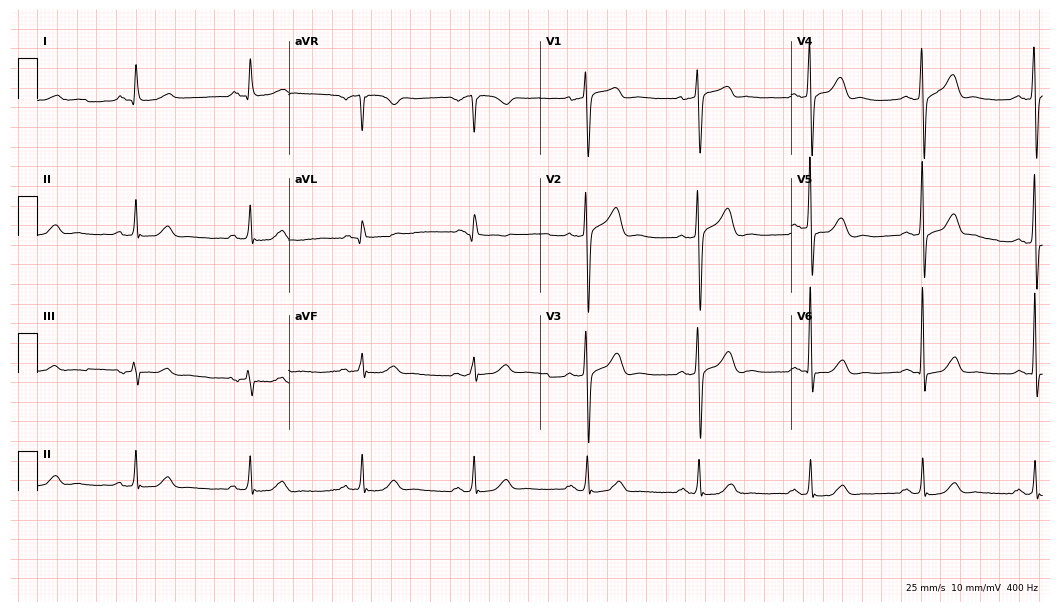
Standard 12-lead ECG recorded from a 75-year-old male patient. Read as a normal ECG.